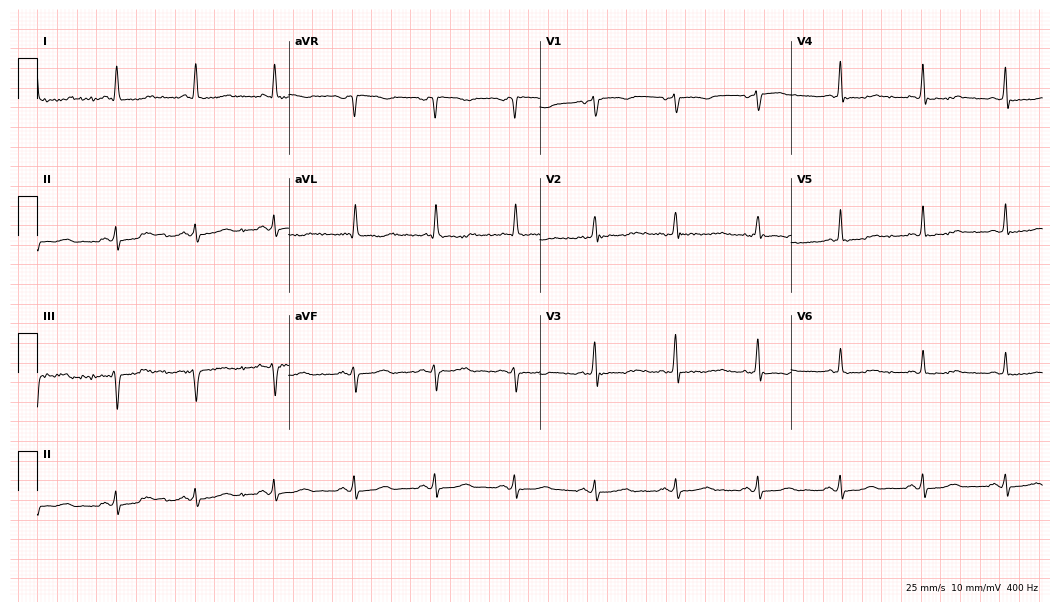
Standard 12-lead ECG recorded from a 74-year-old female patient. None of these six findings is recorded: first-degree AV block, right bundle branch block, left bundle branch block, sinus bradycardia, atrial fibrillation, sinus tachycardia. Findings outside these six are not listed.